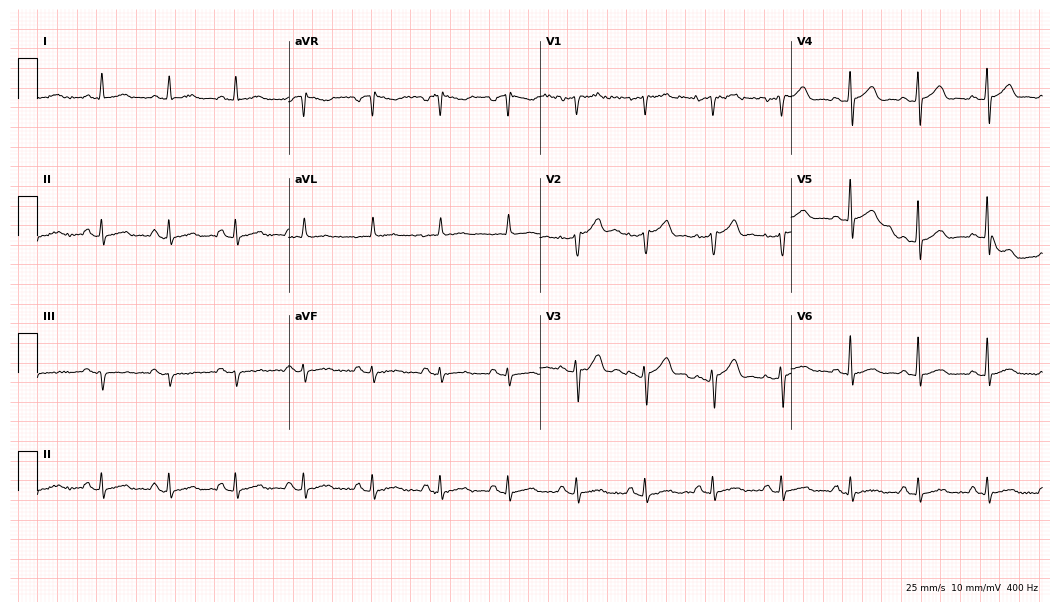
Electrocardiogram, a 57-year-old man. Overall reading on record: normal ECG.